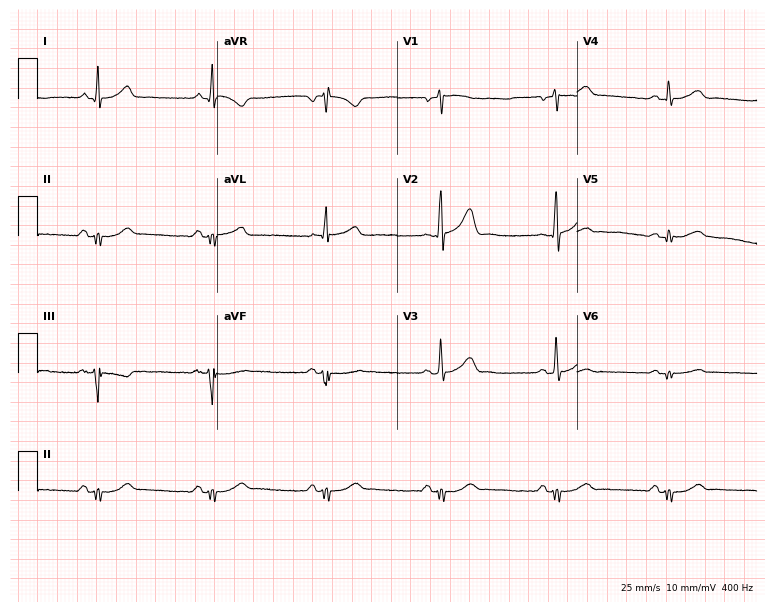
Electrocardiogram (7.3-second recording at 400 Hz), a female patient, 46 years old. Of the six screened findings (first-degree AV block, right bundle branch block (RBBB), left bundle branch block (LBBB), sinus bradycardia, atrial fibrillation (AF), sinus tachycardia), none is recorded.